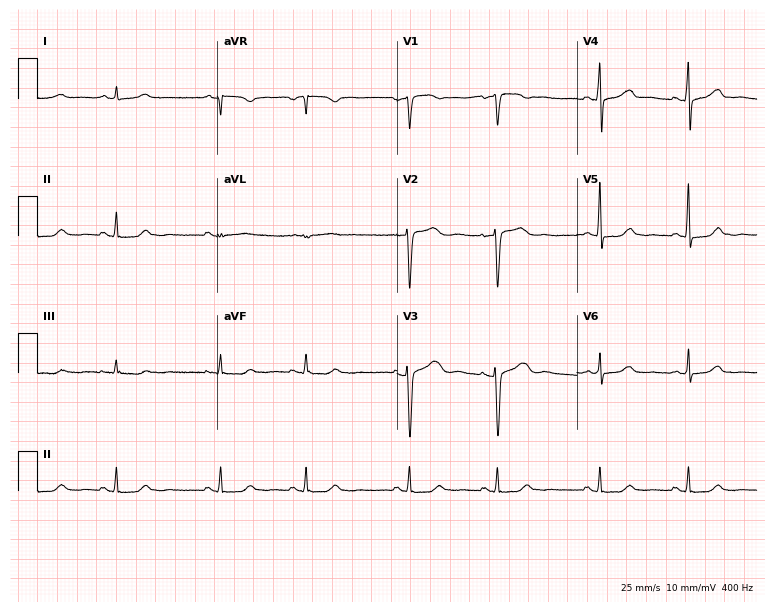
Standard 12-lead ECG recorded from a 48-year-old female (7.3-second recording at 400 Hz). None of these six findings is recorded: first-degree AV block, right bundle branch block, left bundle branch block, sinus bradycardia, atrial fibrillation, sinus tachycardia. Other findings, if any, are not listed.